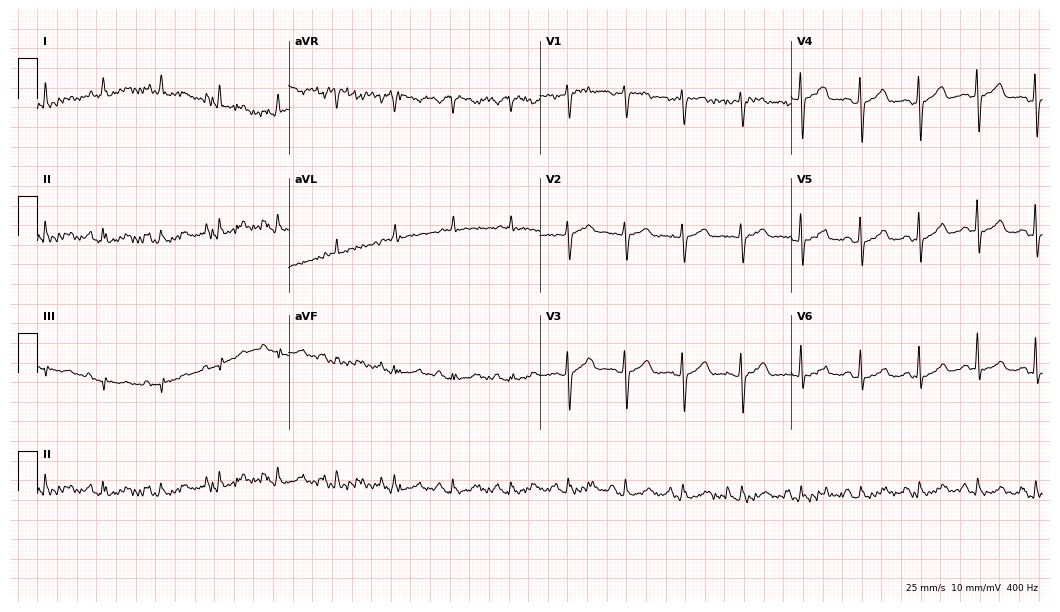
Standard 12-lead ECG recorded from a 69-year-old woman. Read as a normal ECG.